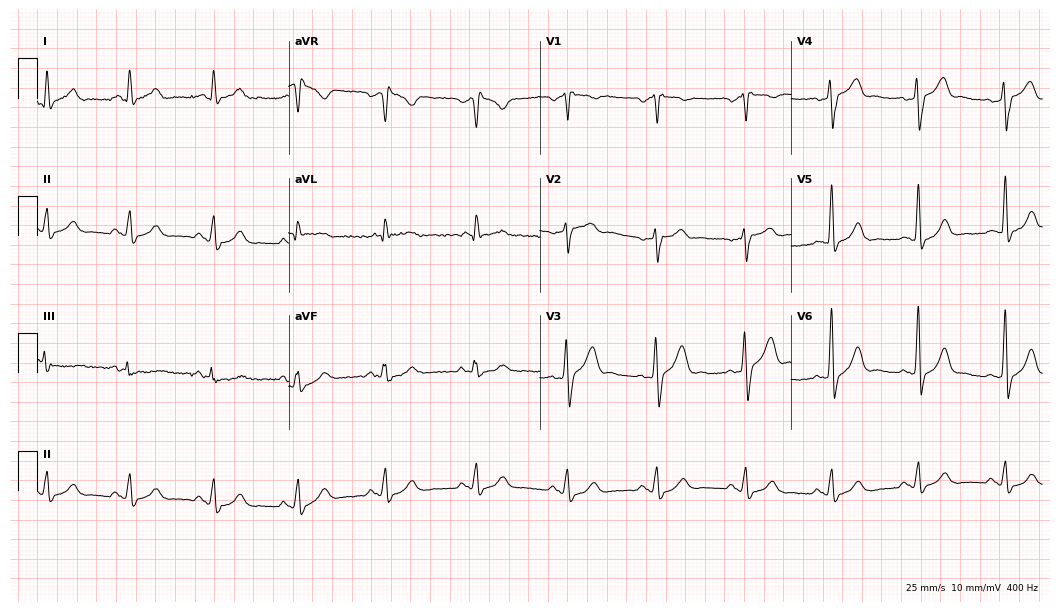
Resting 12-lead electrocardiogram. Patient: a 61-year-old male. None of these six findings is recorded: first-degree AV block, right bundle branch block, left bundle branch block, sinus bradycardia, atrial fibrillation, sinus tachycardia.